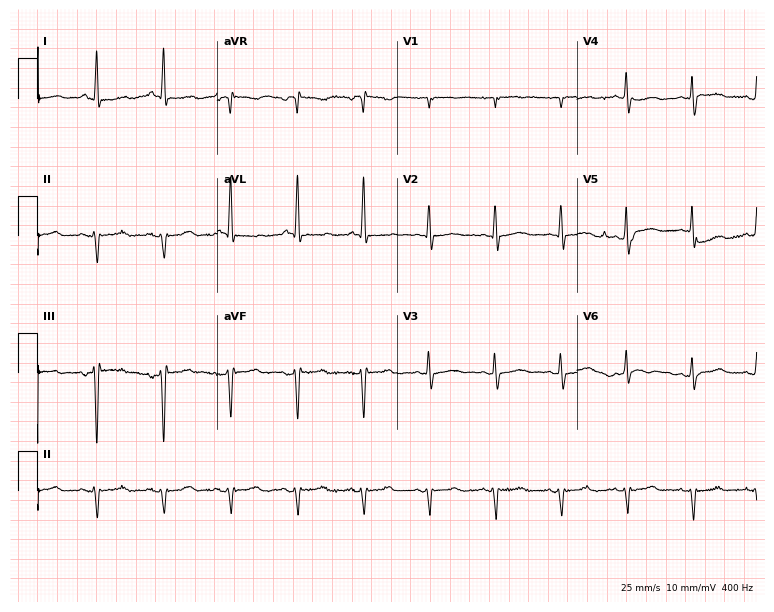
12-lead ECG from a 75-year-old female patient. No first-degree AV block, right bundle branch block, left bundle branch block, sinus bradycardia, atrial fibrillation or sinus tachycardia recorded for this tracing. Findings outside these six are not listed.